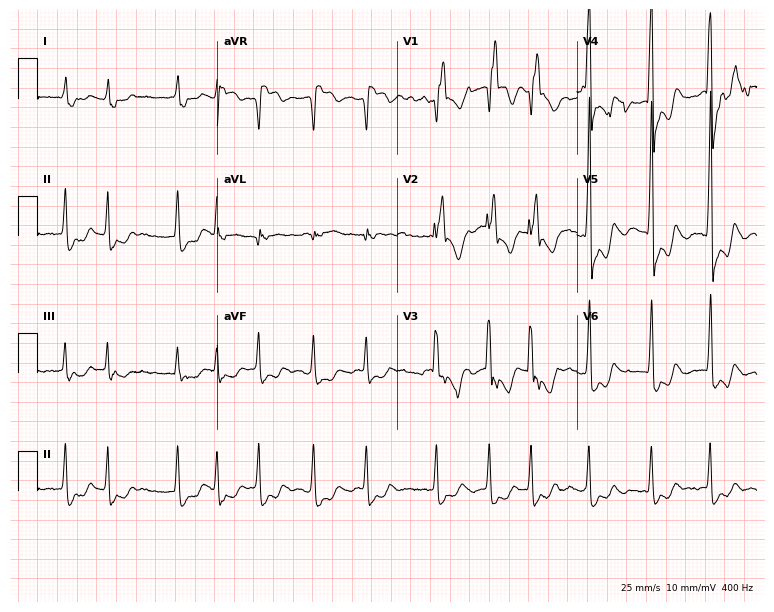
ECG — an 81-year-old male. Findings include right bundle branch block (RBBB), atrial fibrillation (AF).